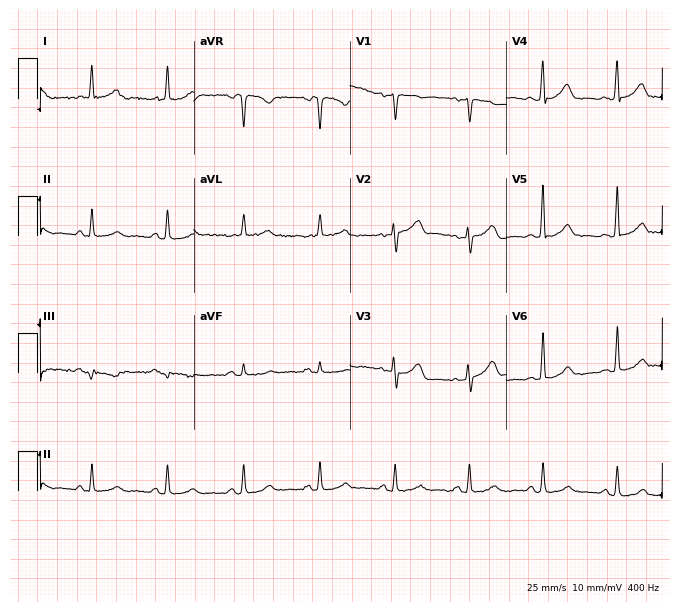
Standard 12-lead ECG recorded from a 62-year-old female. None of these six findings is recorded: first-degree AV block, right bundle branch block (RBBB), left bundle branch block (LBBB), sinus bradycardia, atrial fibrillation (AF), sinus tachycardia. Only these six findings were labelled.